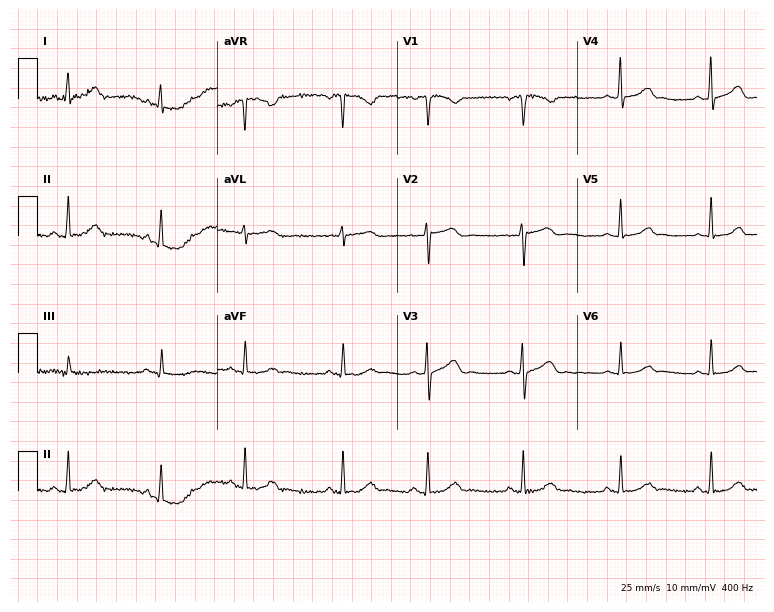
12-lead ECG from a female patient, 38 years old. Labelled as a normal ECG.